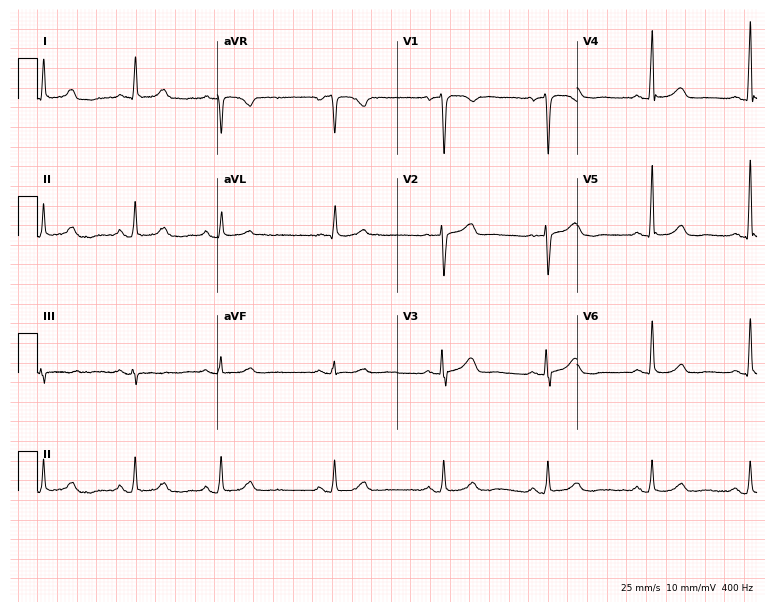
ECG — a 60-year-old female patient. Labelled as a normal ECG.